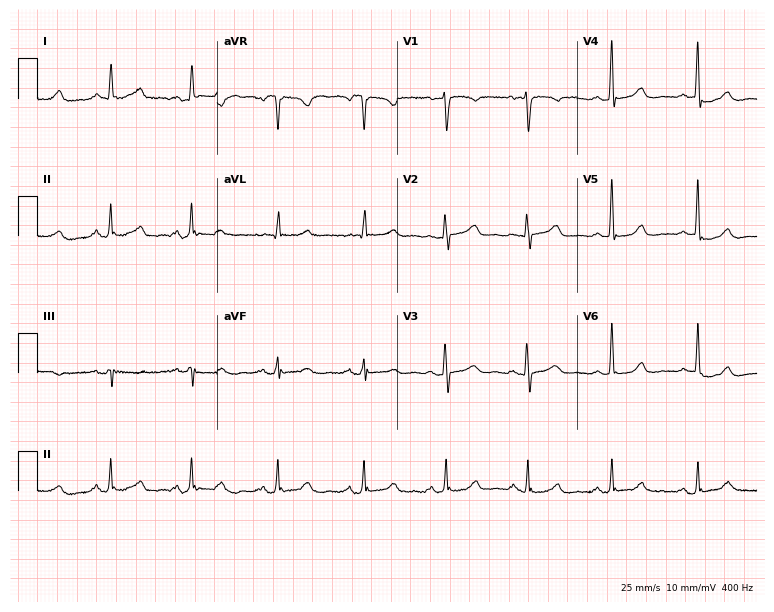
12-lead ECG from a female patient, 65 years old (7.3-second recording at 400 Hz). No first-degree AV block, right bundle branch block, left bundle branch block, sinus bradycardia, atrial fibrillation or sinus tachycardia recorded for this tracing.